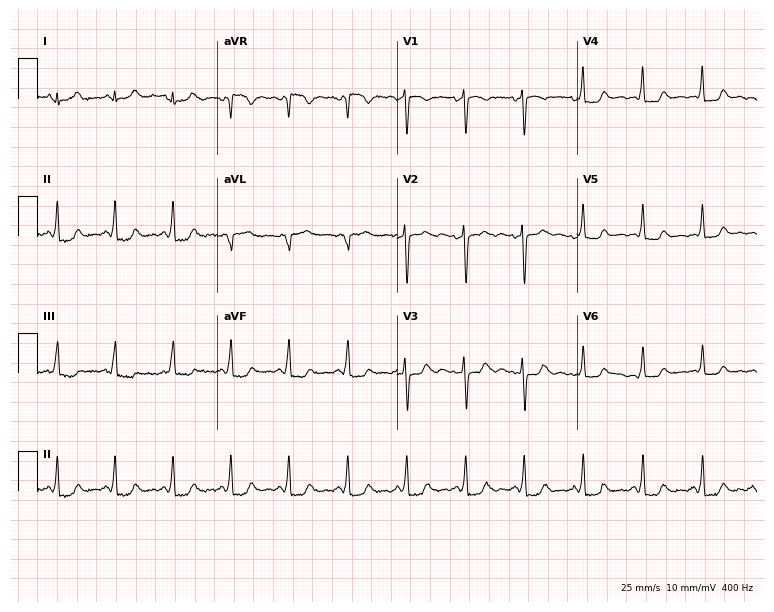
12-lead ECG from a female, 53 years old. Screened for six findings — first-degree AV block, right bundle branch block (RBBB), left bundle branch block (LBBB), sinus bradycardia, atrial fibrillation (AF), sinus tachycardia — none is recorded.